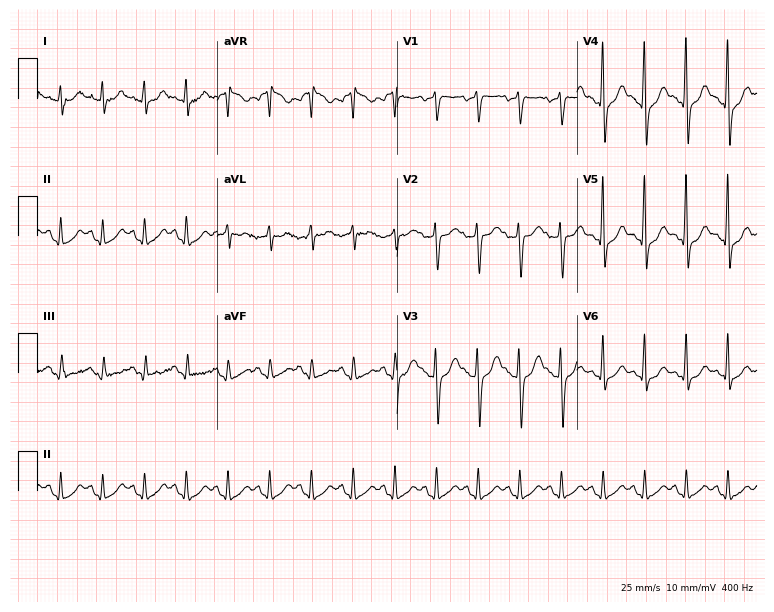
Resting 12-lead electrocardiogram. Patient: a 45-year-old female. The tracing shows sinus tachycardia (a sinus rate of 100 beats per minute or more).